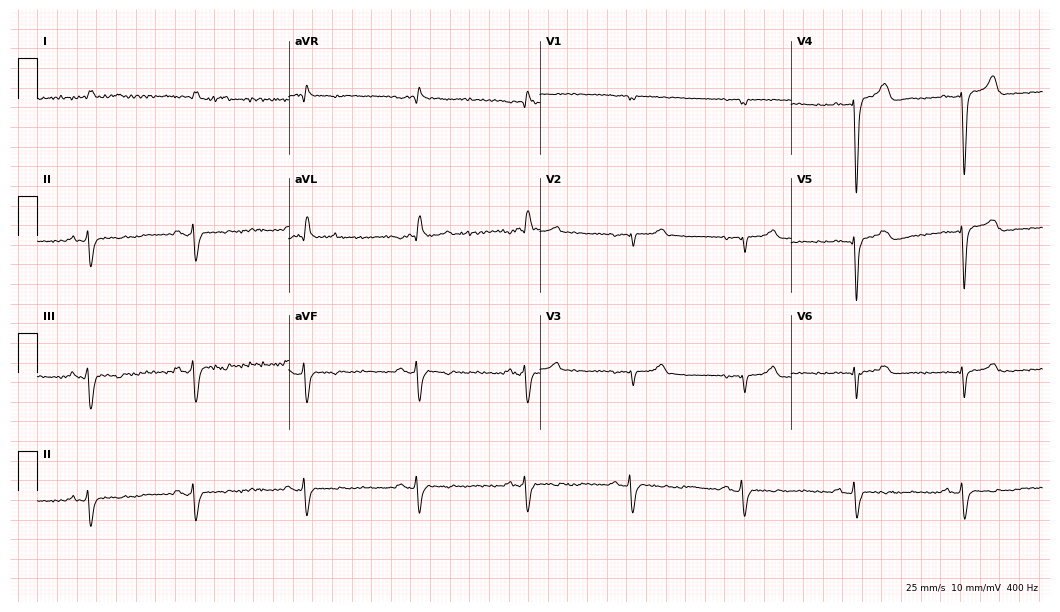
Standard 12-lead ECG recorded from a 74-year-old man. None of these six findings is recorded: first-degree AV block, right bundle branch block, left bundle branch block, sinus bradycardia, atrial fibrillation, sinus tachycardia. Only these six findings were labelled.